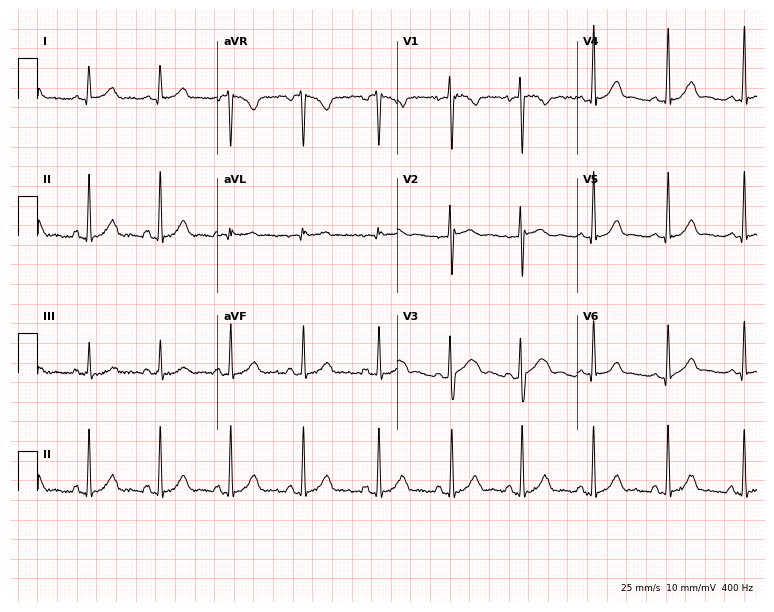
12-lead ECG (7.3-second recording at 400 Hz) from a 25-year-old female patient. Labelled as a normal ECG.